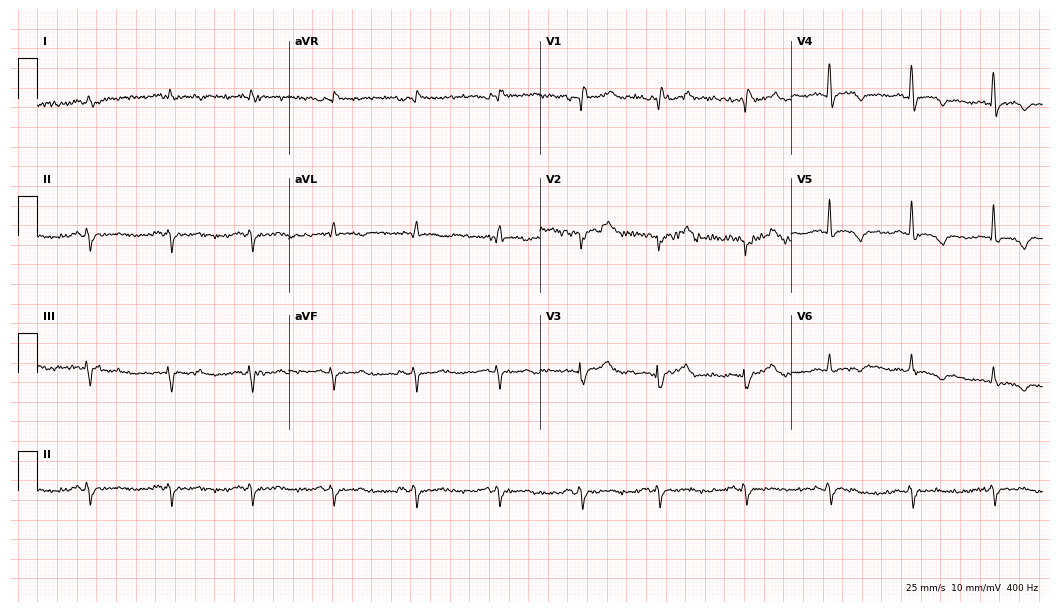
Resting 12-lead electrocardiogram (10.2-second recording at 400 Hz). Patient: a 71-year-old male. None of these six findings is recorded: first-degree AV block, right bundle branch block (RBBB), left bundle branch block (LBBB), sinus bradycardia, atrial fibrillation (AF), sinus tachycardia.